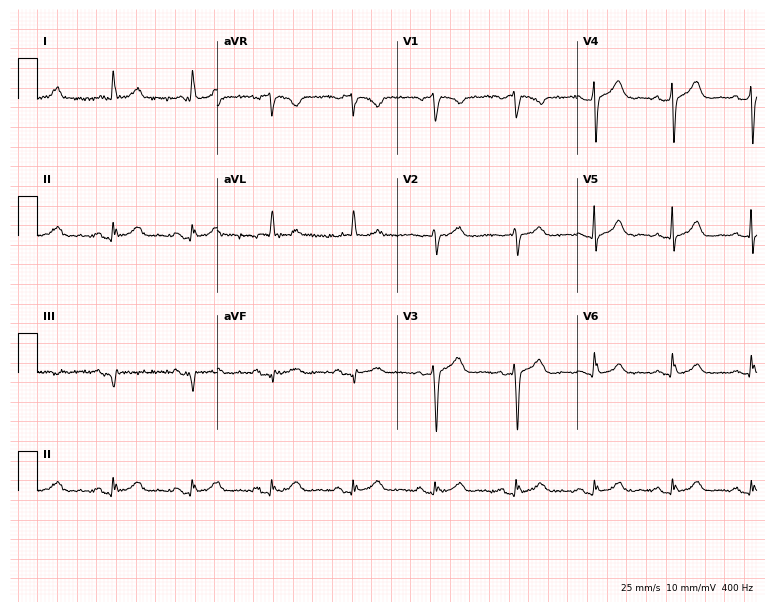
ECG (7.3-second recording at 400 Hz) — a female, 77 years old. Screened for six findings — first-degree AV block, right bundle branch block, left bundle branch block, sinus bradycardia, atrial fibrillation, sinus tachycardia — none is recorded. Only these six findings were labelled.